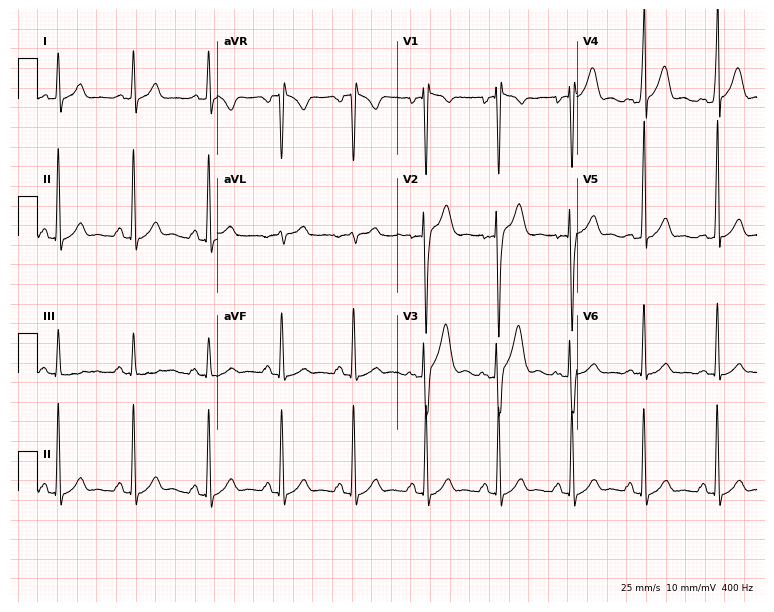
ECG — a man, 21 years old. Screened for six findings — first-degree AV block, right bundle branch block, left bundle branch block, sinus bradycardia, atrial fibrillation, sinus tachycardia — none is recorded.